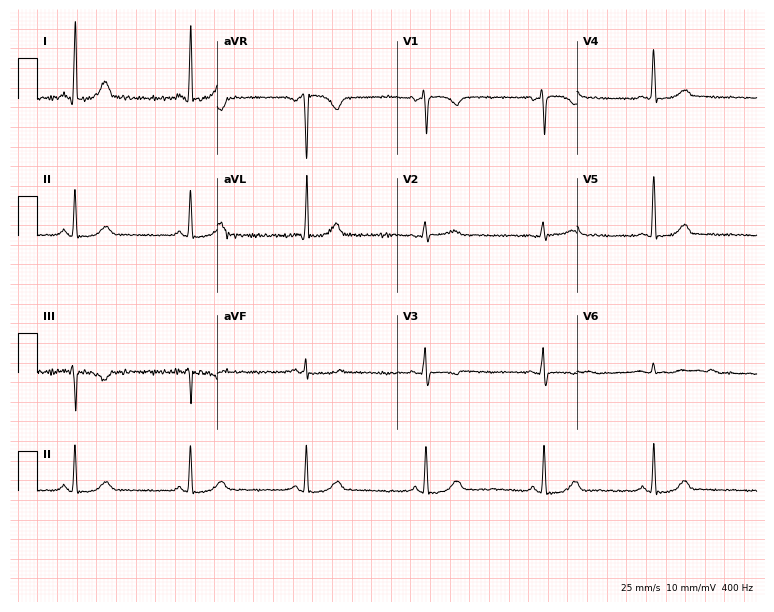
ECG — a 43-year-old female patient. Labelled as a normal ECG.